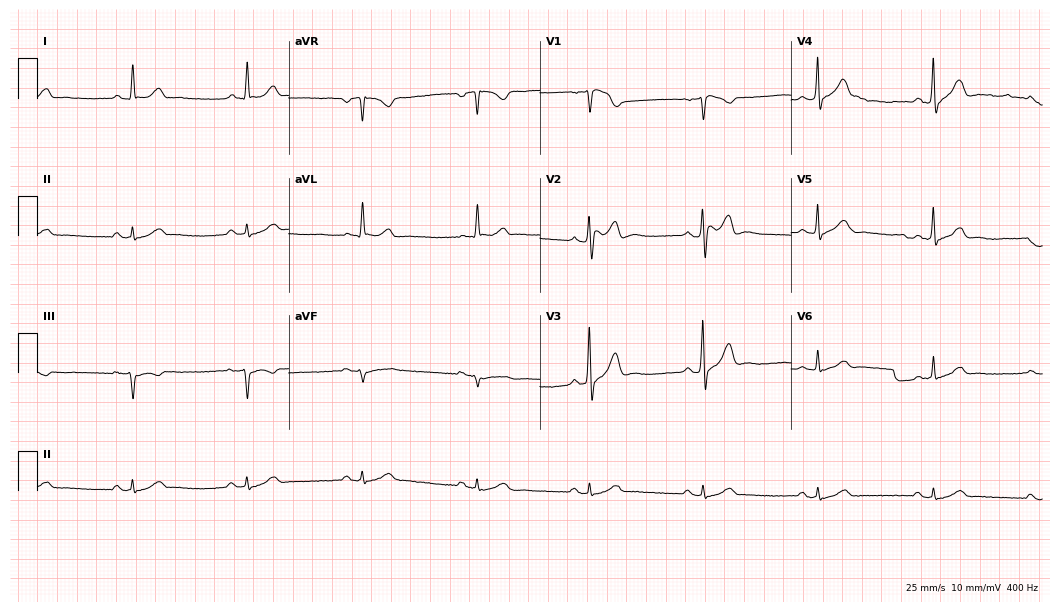
ECG (10.2-second recording at 400 Hz) — a male patient, 63 years old. Labelled as a normal ECG.